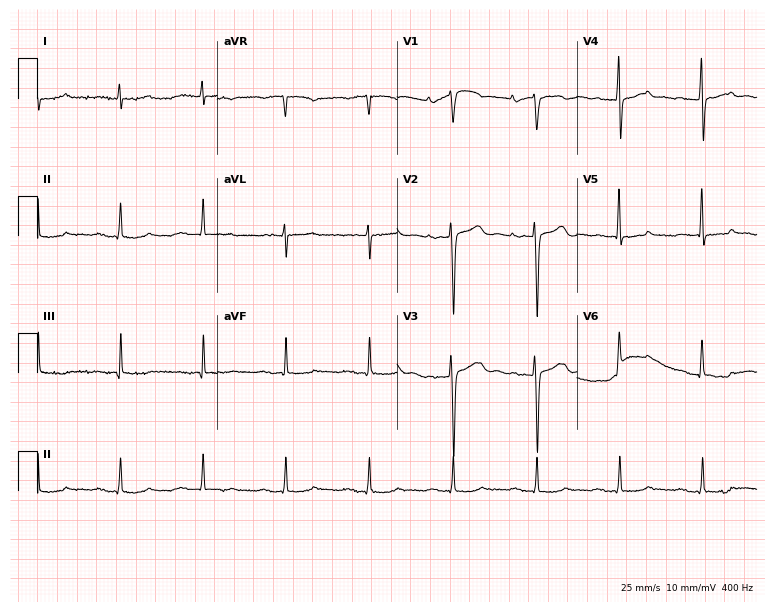
12-lead ECG from a man, 73 years old (7.3-second recording at 400 Hz). Shows first-degree AV block.